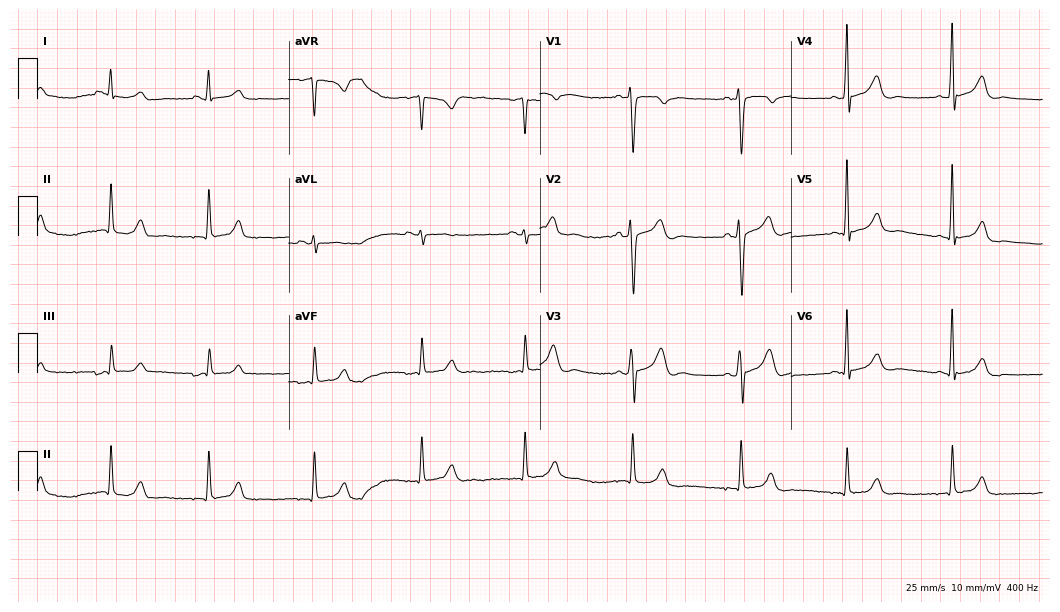
Electrocardiogram, a man, 41 years old. Of the six screened findings (first-degree AV block, right bundle branch block (RBBB), left bundle branch block (LBBB), sinus bradycardia, atrial fibrillation (AF), sinus tachycardia), none is recorded. Only these six findings were labelled.